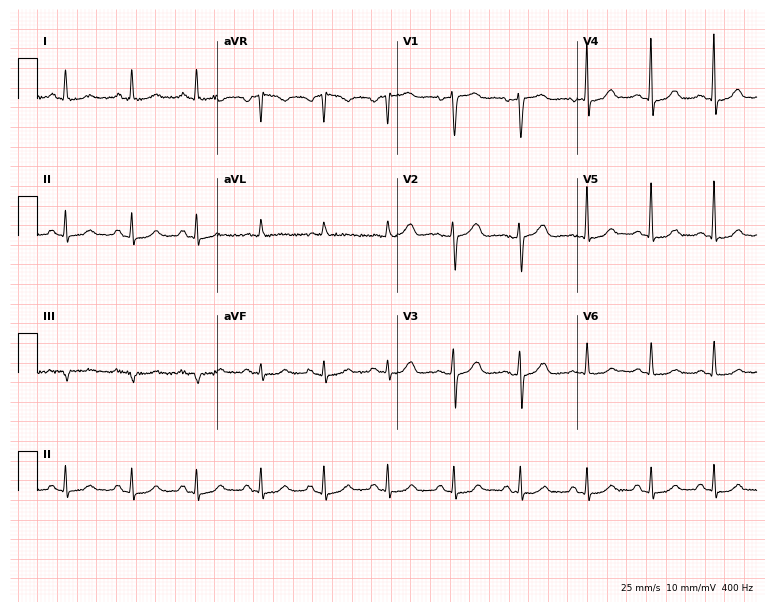
Electrocardiogram, a 75-year-old female patient. Overall reading on record: normal ECG.